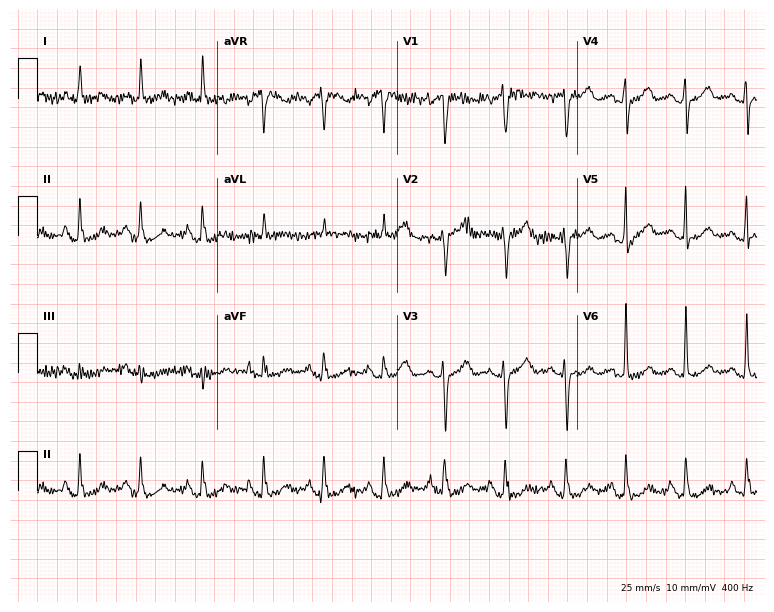
12-lead ECG from a 72-year-old female patient. No first-degree AV block, right bundle branch block, left bundle branch block, sinus bradycardia, atrial fibrillation or sinus tachycardia recorded for this tracing. Only these six findings were labelled.